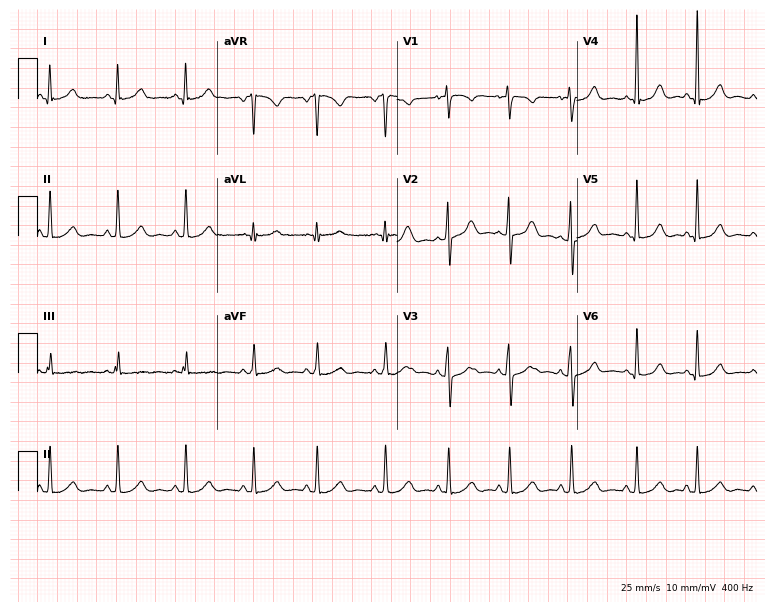
Resting 12-lead electrocardiogram. Patient: a woman, 26 years old. None of these six findings is recorded: first-degree AV block, right bundle branch block (RBBB), left bundle branch block (LBBB), sinus bradycardia, atrial fibrillation (AF), sinus tachycardia.